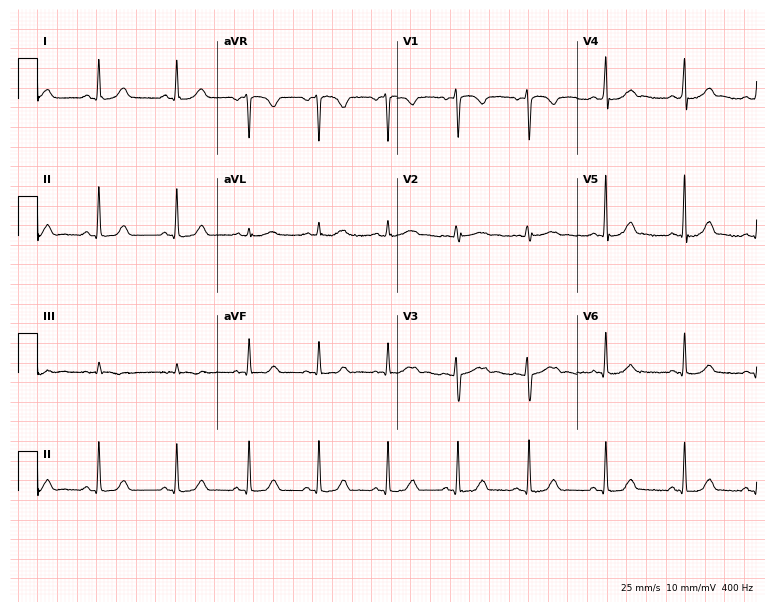
12-lead ECG from a 25-year-old woman. Recorded interpretation: within normal limits.